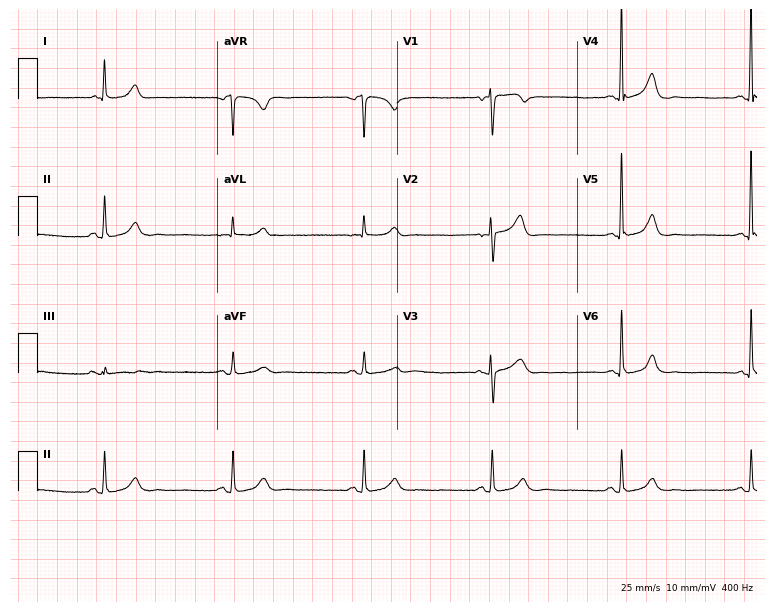
ECG (7.3-second recording at 400 Hz) — a 74-year-old female patient. Findings include sinus bradycardia (a sinus rate of 50 beats per minute or less).